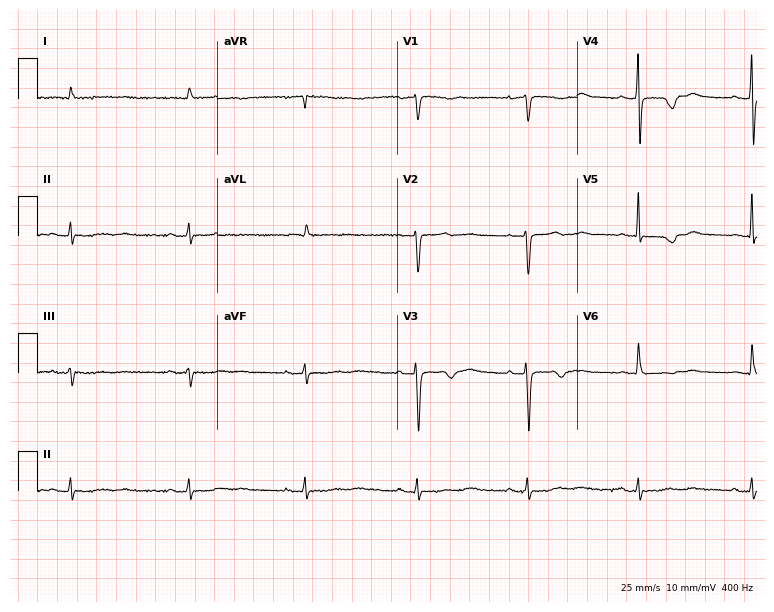
ECG (7.3-second recording at 400 Hz) — a 71-year-old woman. Screened for six findings — first-degree AV block, right bundle branch block, left bundle branch block, sinus bradycardia, atrial fibrillation, sinus tachycardia — none is recorded. Findings outside these six are not listed.